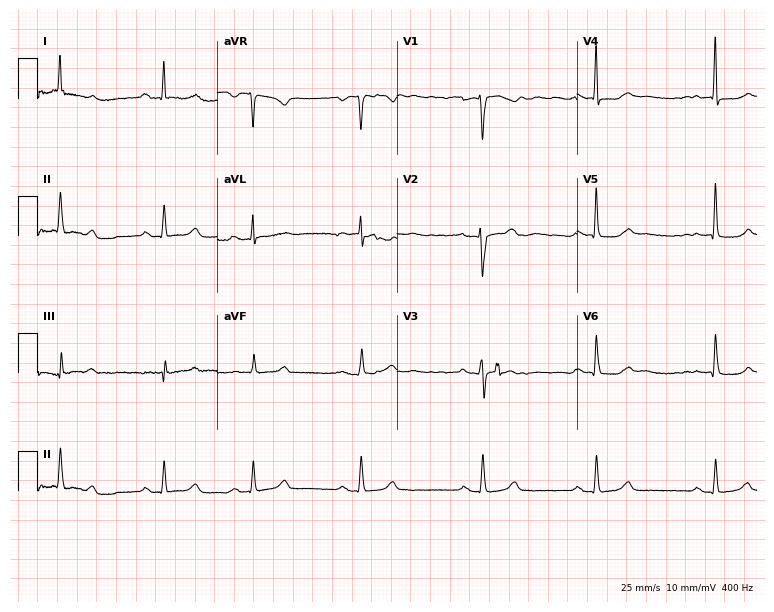
Resting 12-lead electrocardiogram. Patient: a 44-year-old female. Read as a normal ECG.